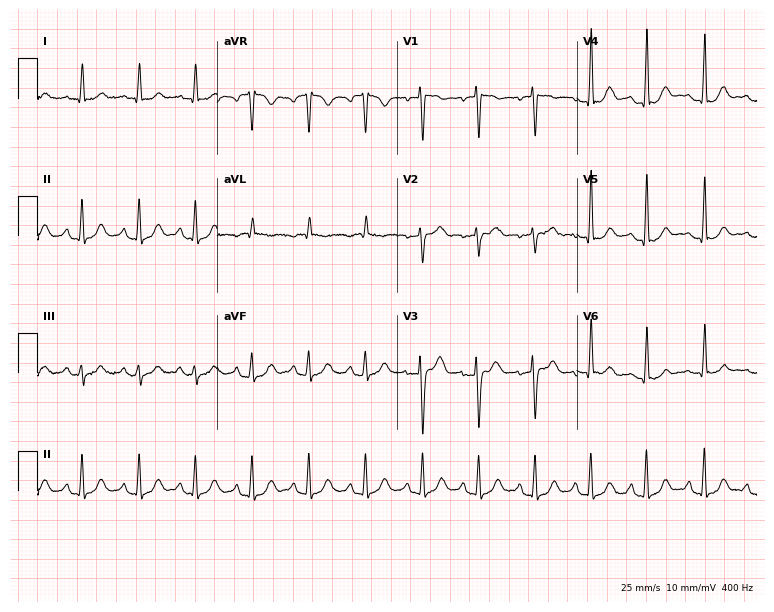
12-lead ECG from a female patient, 28 years old. Shows sinus tachycardia (a sinus rate of 100 beats per minute or more).